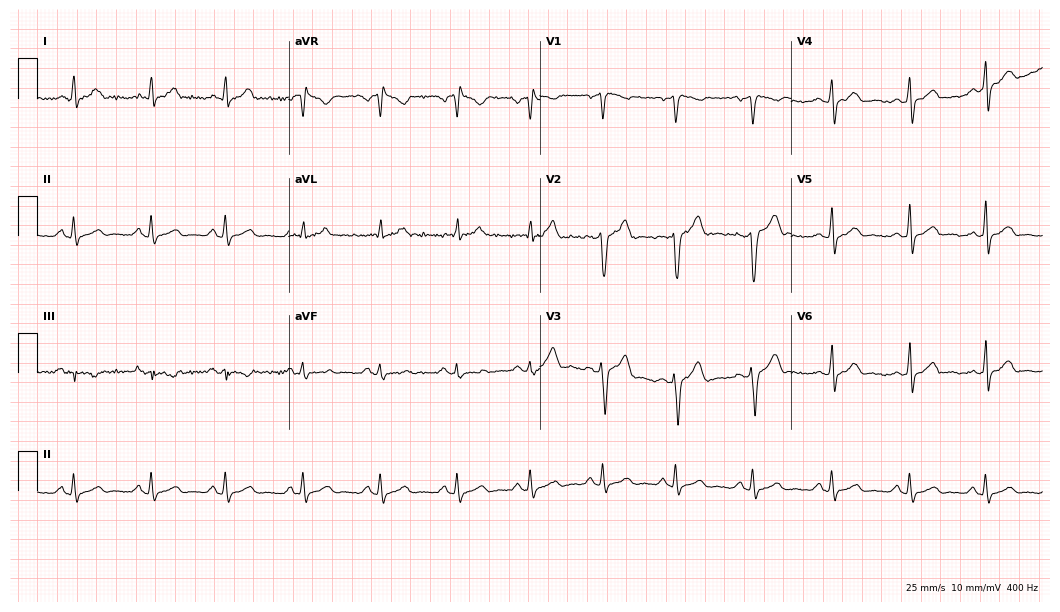
Electrocardiogram (10.2-second recording at 400 Hz), a man, 34 years old. Overall reading on record: normal ECG.